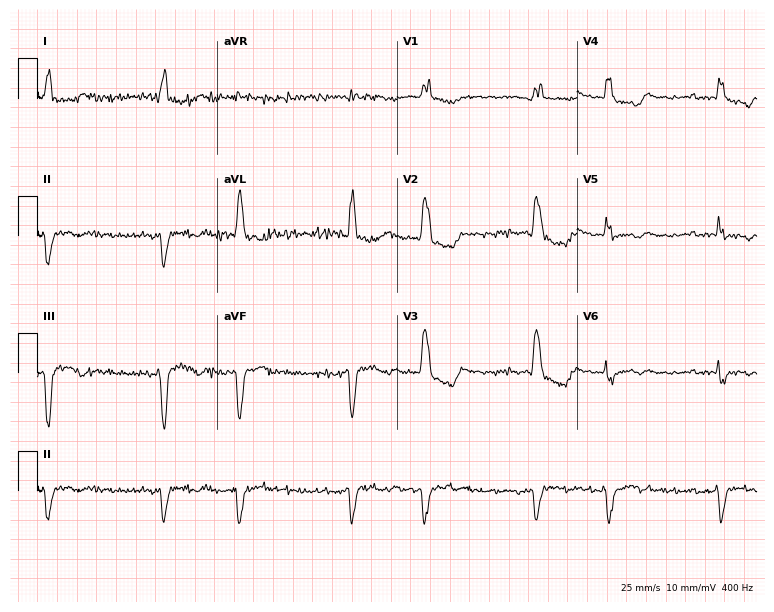
ECG (7.3-second recording at 400 Hz) — a 74-year-old female patient. Screened for six findings — first-degree AV block, right bundle branch block (RBBB), left bundle branch block (LBBB), sinus bradycardia, atrial fibrillation (AF), sinus tachycardia — none is recorded.